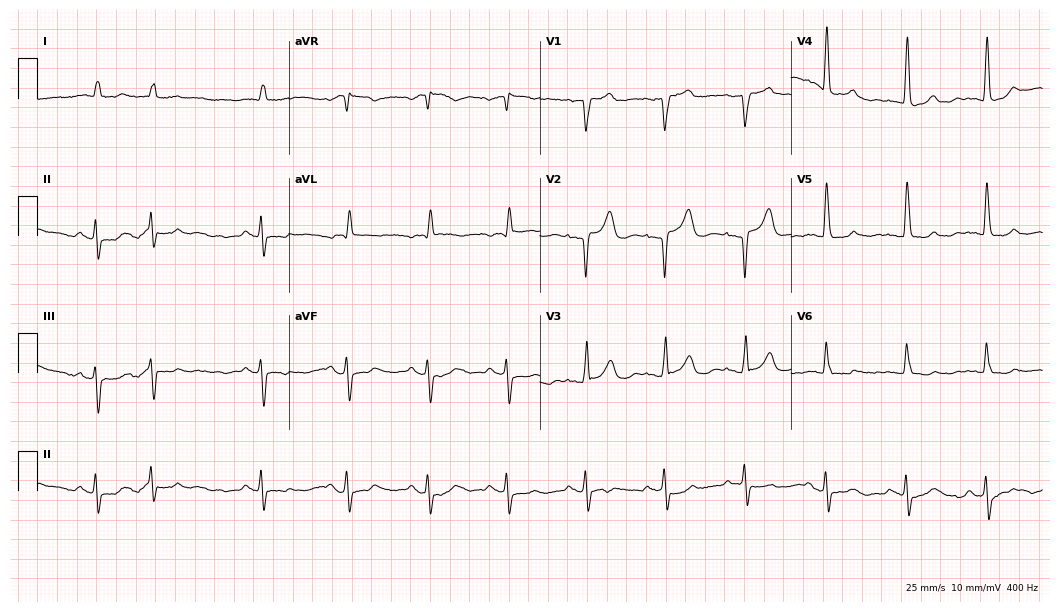
Resting 12-lead electrocardiogram (10.2-second recording at 400 Hz). Patient: a male, 84 years old. None of these six findings is recorded: first-degree AV block, right bundle branch block, left bundle branch block, sinus bradycardia, atrial fibrillation, sinus tachycardia.